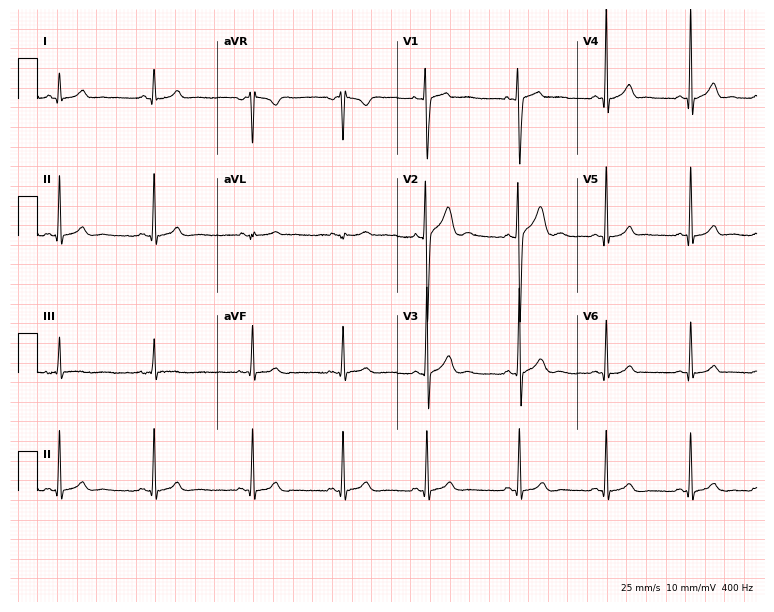
12-lead ECG from a 19-year-old male patient (7.3-second recording at 400 Hz). Recorded interpretation: within normal limits.